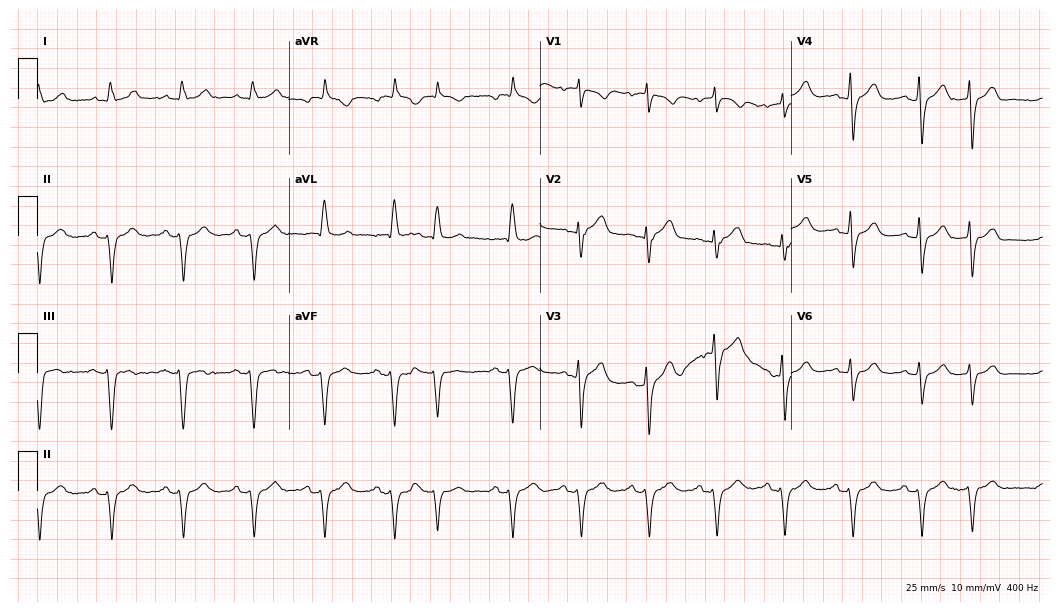
12-lead ECG (10.2-second recording at 400 Hz) from a male, 73 years old. Screened for six findings — first-degree AV block, right bundle branch block, left bundle branch block, sinus bradycardia, atrial fibrillation, sinus tachycardia — none is recorded.